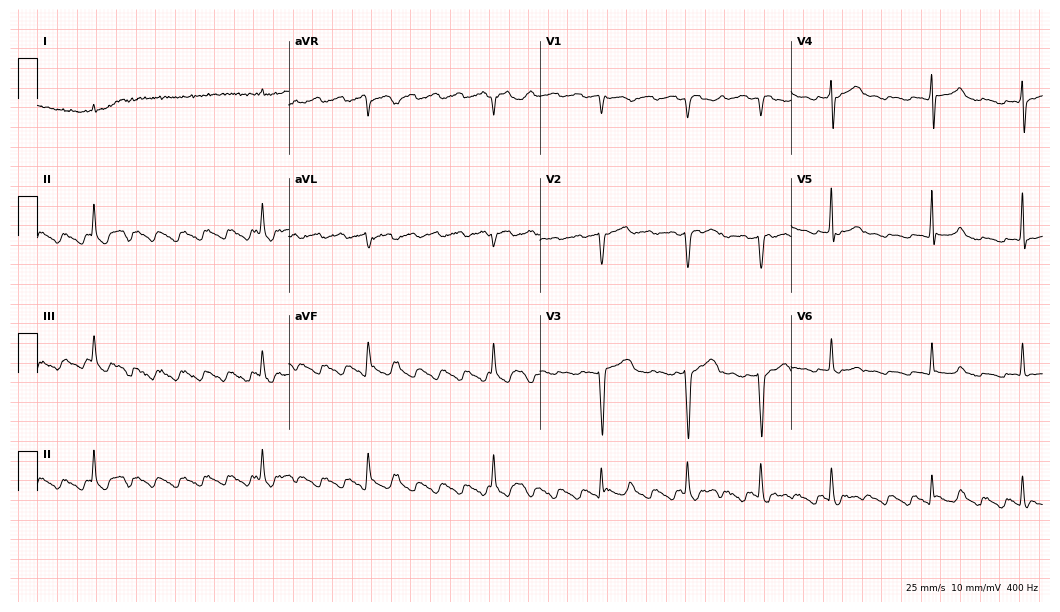
12-lead ECG (10.2-second recording at 400 Hz) from a 64-year-old woman. Findings include atrial fibrillation (AF).